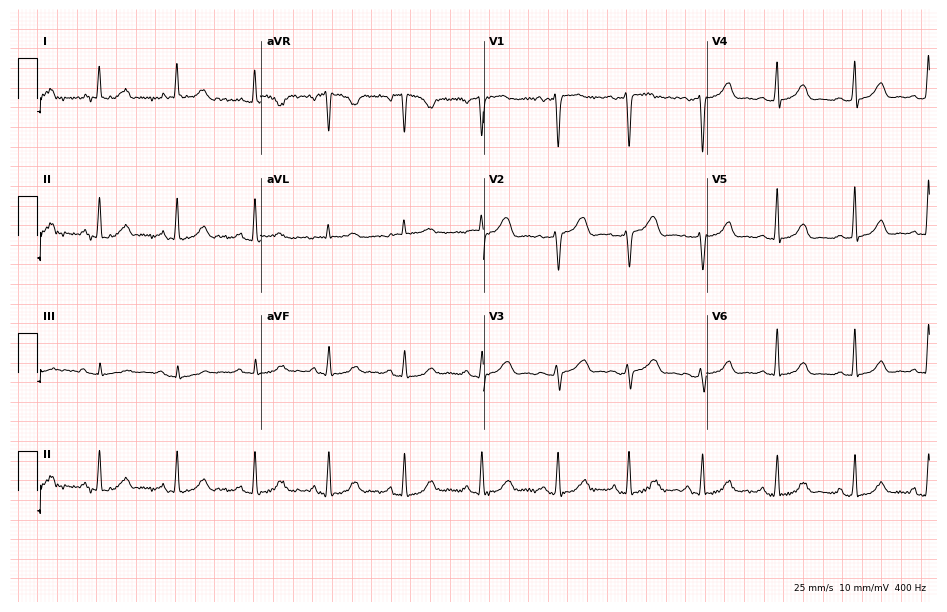
12-lead ECG from a 44-year-old woman. Screened for six findings — first-degree AV block, right bundle branch block, left bundle branch block, sinus bradycardia, atrial fibrillation, sinus tachycardia — none is recorded. Other findings, if any, are not listed.